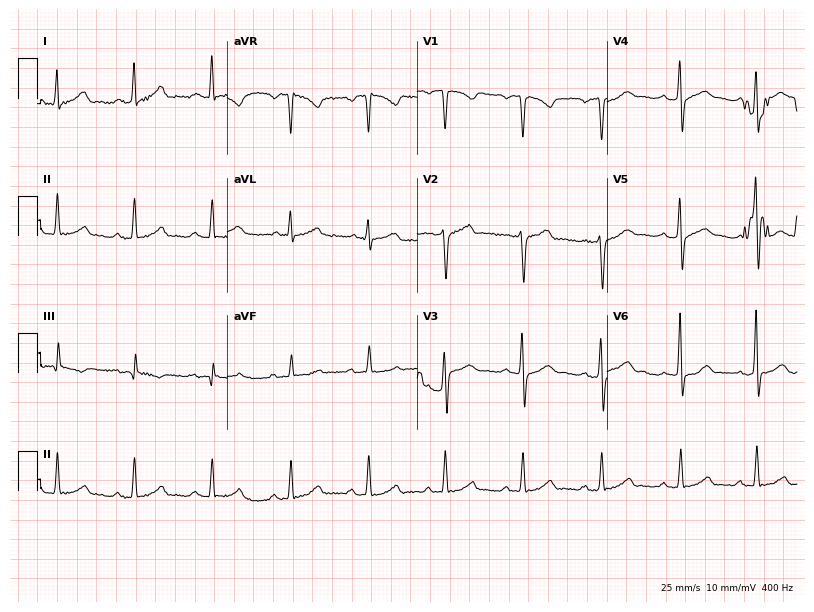
Electrocardiogram, a male patient, 45 years old. Of the six screened findings (first-degree AV block, right bundle branch block (RBBB), left bundle branch block (LBBB), sinus bradycardia, atrial fibrillation (AF), sinus tachycardia), none is recorded. Only these six findings were labelled.